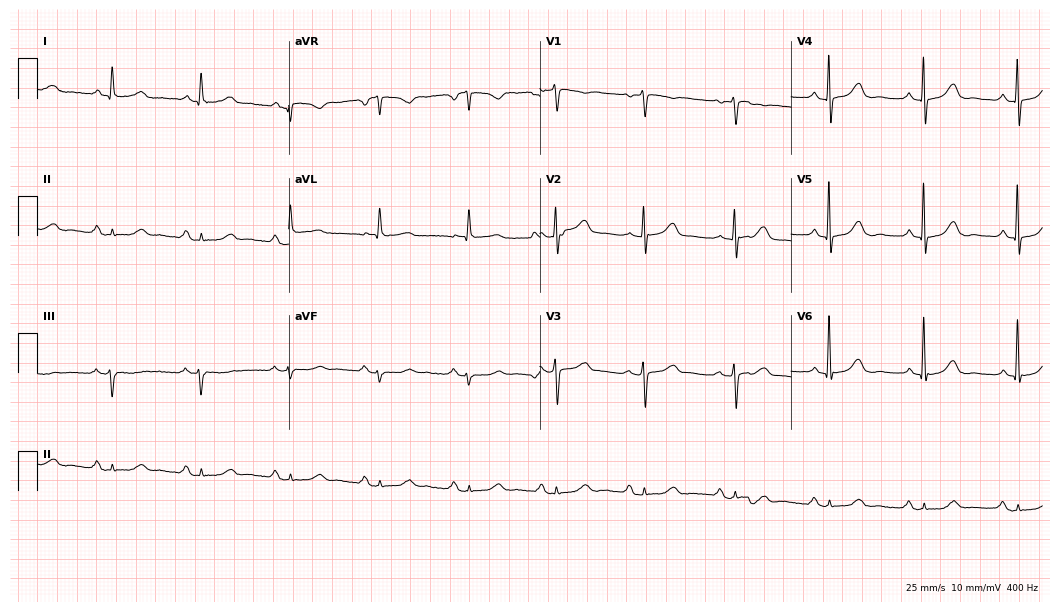
Electrocardiogram (10.2-second recording at 400 Hz), a 71-year-old woman. Overall reading on record: normal ECG.